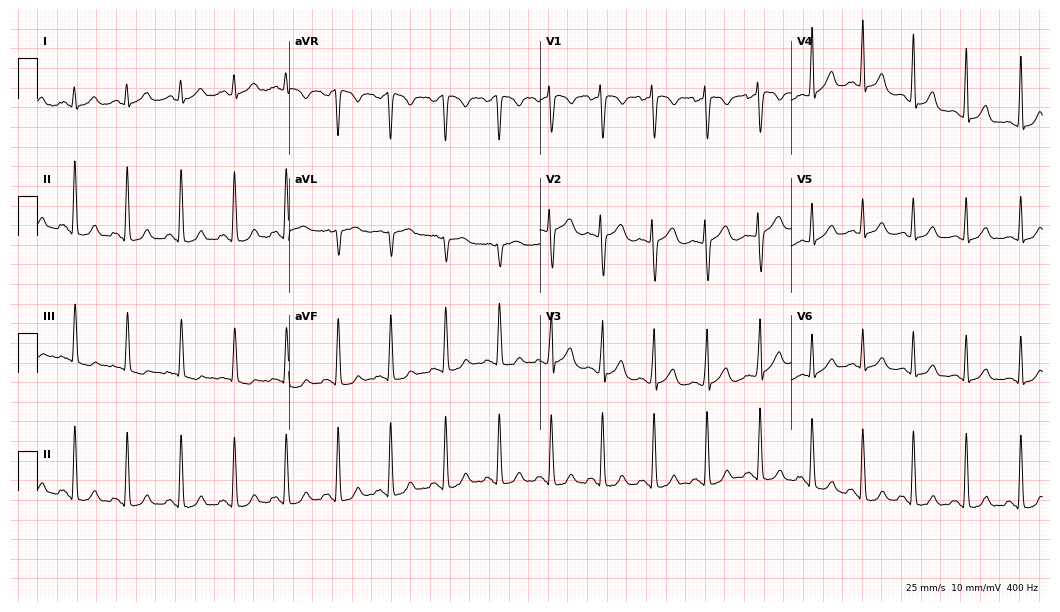
Resting 12-lead electrocardiogram. Patient: a 19-year-old woman. None of these six findings is recorded: first-degree AV block, right bundle branch block, left bundle branch block, sinus bradycardia, atrial fibrillation, sinus tachycardia.